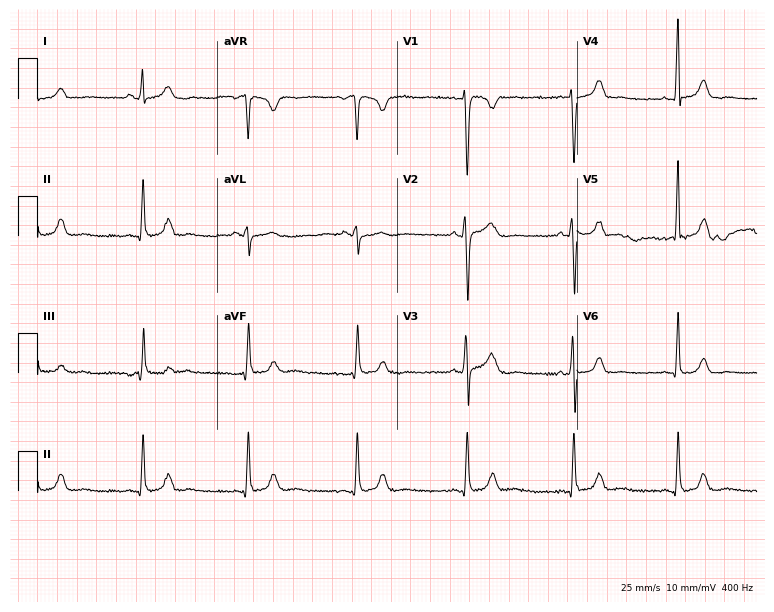
ECG — a female, 35 years old. Labelled as a normal ECG.